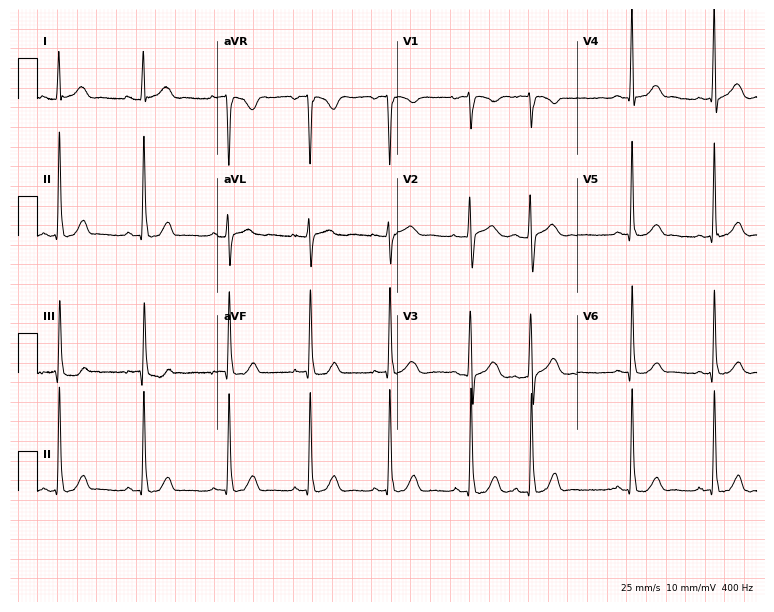
ECG — a female, 43 years old. Screened for six findings — first-degree AV block, right bundle branch block (RBBB), left bundle branch block (LBBB), sinus bradycardia, atrial fibrillation (AF), sinus tachycardia — none is recorded. Only these six findings were labelled.